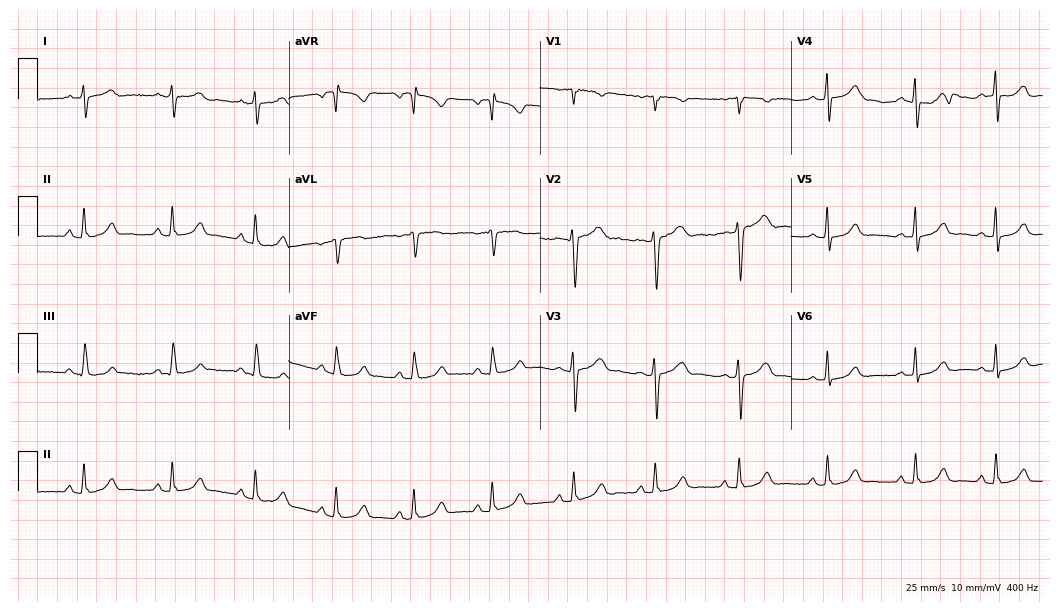
Resting 12-lead electrocardiogram (10.2-second recording at 400 Hz). Patient: a female, 21 years old. None of these six findings is recorded: first-degree AV block, right bundle branch block, left bundle branch block, sinus bradycardia, atrial fibrillation, sinus tachycardia.